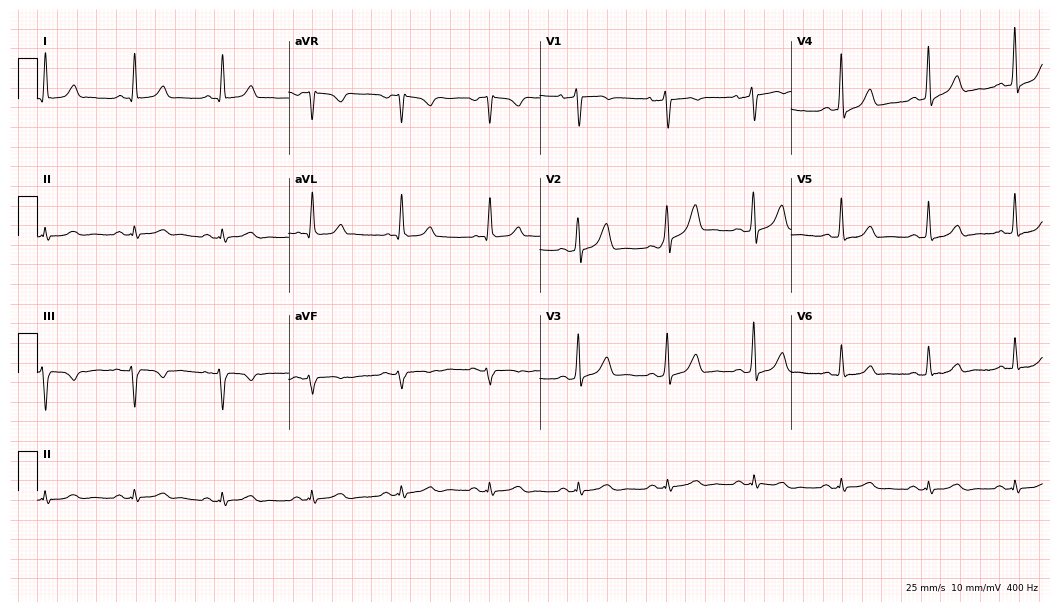
12-lead ECG from a female patient, 54 years old. Labelled as a normal ECG.